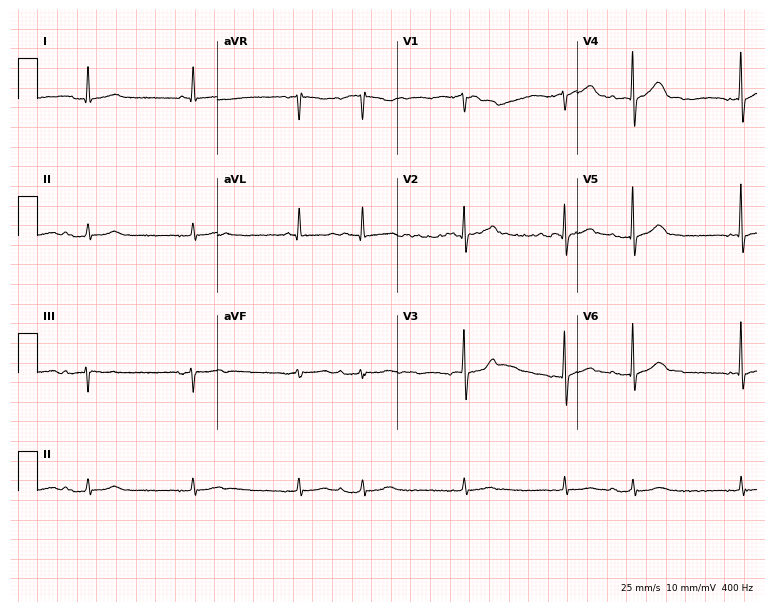
12-lead ECG from an 84-year-old man (7.3-second recording at 400 Hz). Shows atrial fibrillation.